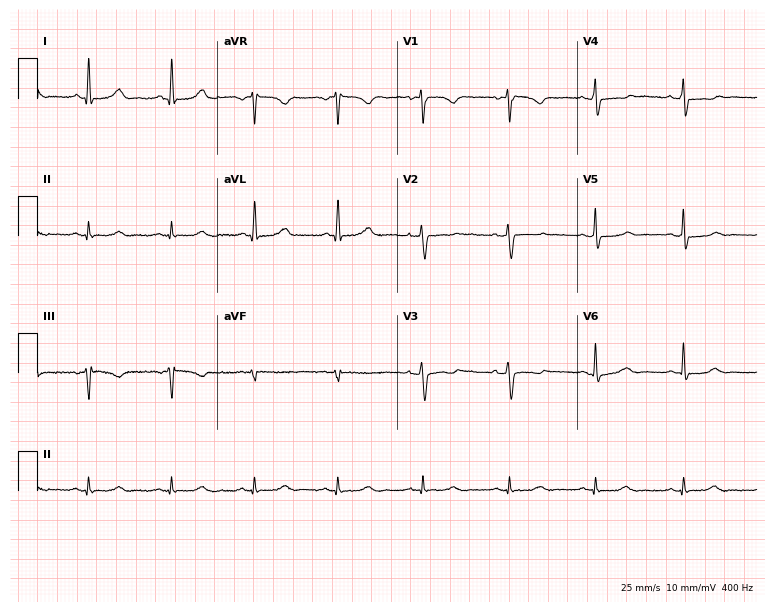
ECG — a female, 49 years old. Screened for six findings — first-degree AV block, right bundle branch block (RBBB), left bundle branch block (LBBB), sinus bradycardia, atrial fibrillation (AF), sinus tachycardia — none is recorded.